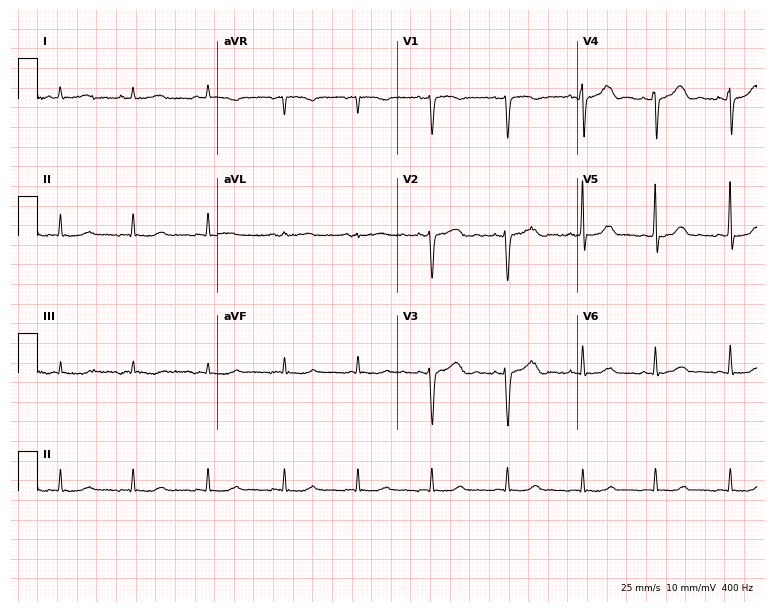
Resting 12-lead electrocardiogram (7.3-second recording at 400 Hz). Patient: a female, 48 years old. Read as a normal ECG.